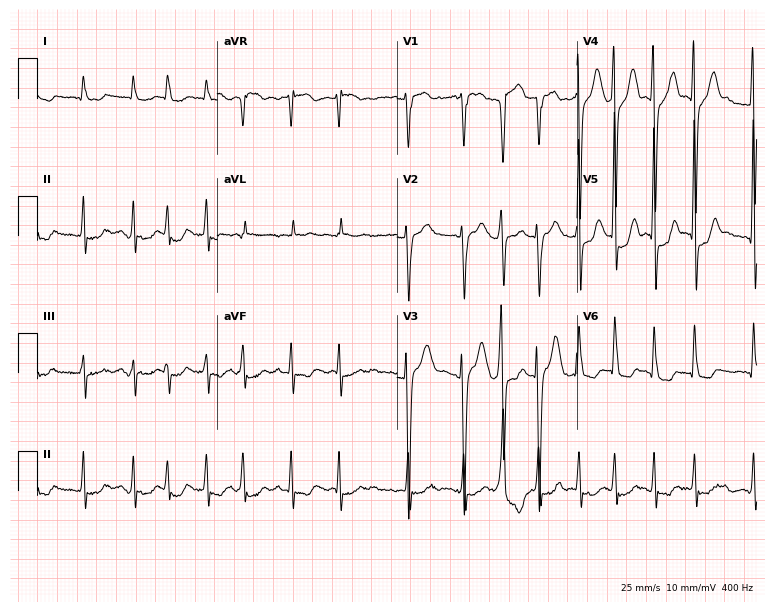
12-lead ECG (7.3-second recording at 400 Hz) from a man, 85 years old. Findings include atrial fibrillation.